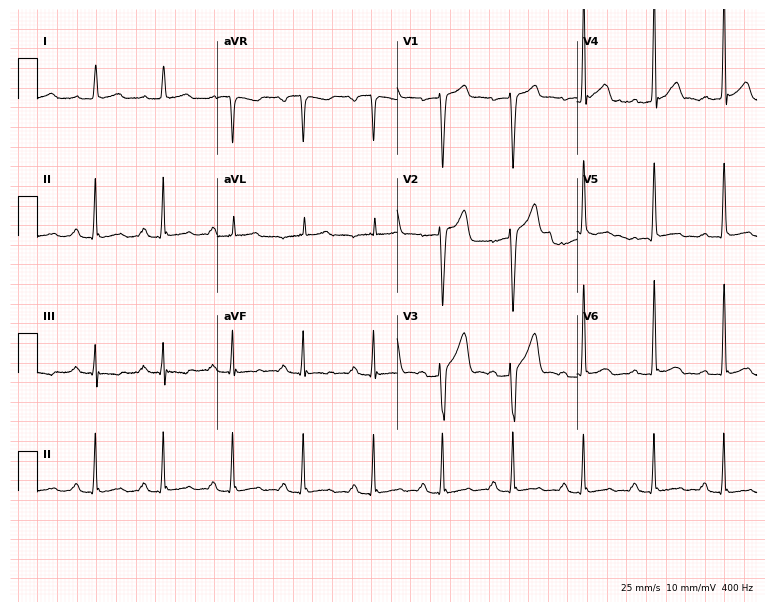
Electrocardiogram (7.3-second recording at 400 Hz), a 39-year-old man. Of the six screened findings (first-degree AV block, right bundle branch block (RBBB), left bundle branch block (LBBB), sinus bradycardia, atrial fibrillation (AF), sinus tachycardia), none is recorded.